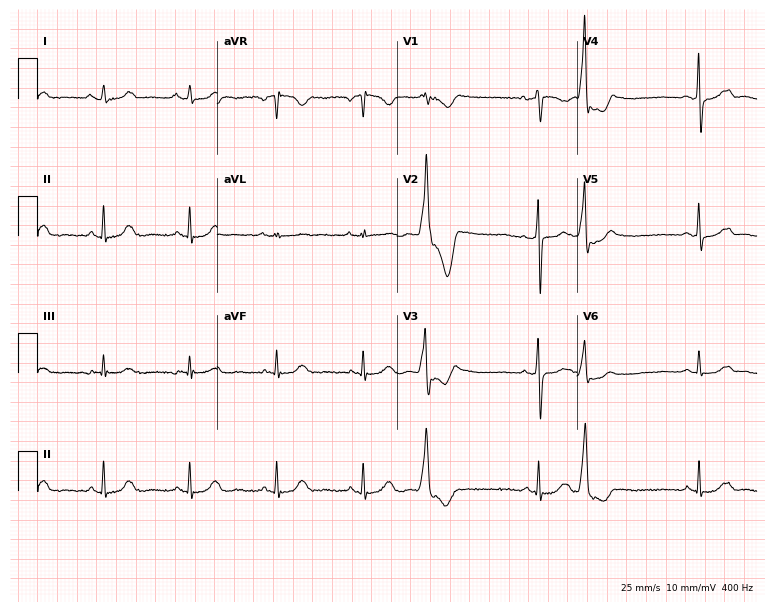
12-lead ECG from a male, 79 years old (7.3-second recording at 400 Hz). No first-degree AV block, right bundle branch block, left bundle branch block, sinus bradycardia, atrial fibrillation or sinus tachycardia recorded for this tracing. Other findings, if any, are not listed.